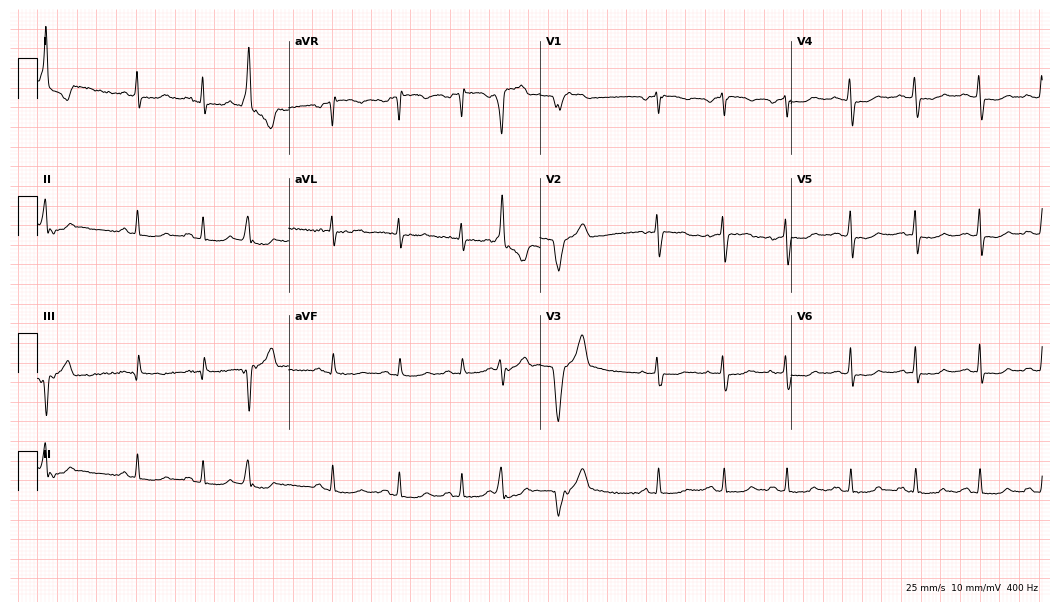
Resting 12-lead electrocardiogram (10.2-second recording at 400 Hz). Patient: a 46-year-old female. None of these six findings is recorded: first-degree AV block, right bundle branch block, left bundle branch block, sinus bradycardia, atrial fibrillation, sinus tachycardia. Only these six findings were labelled.